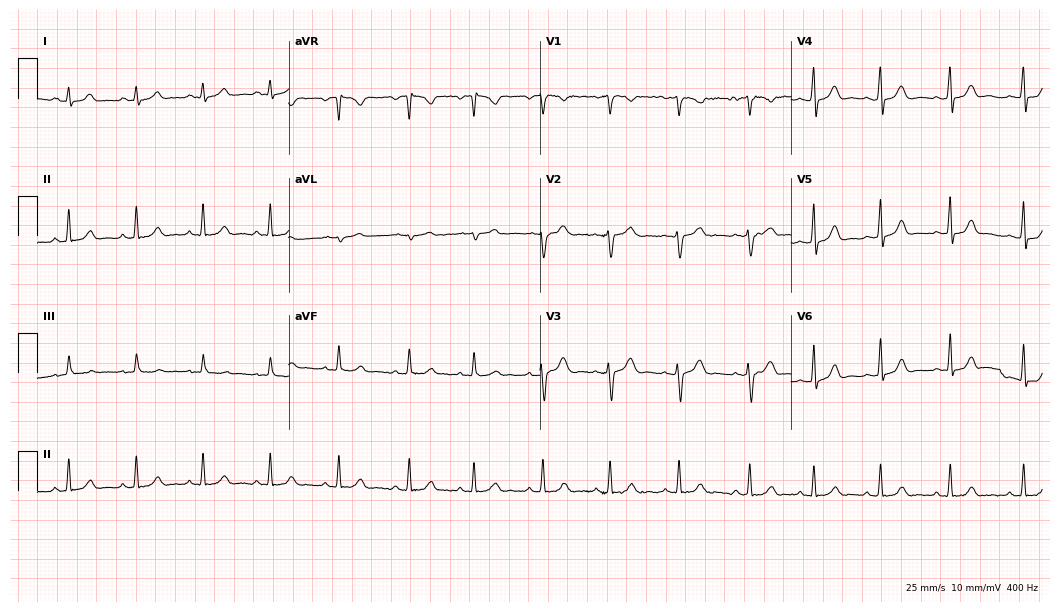
ECG (10.2-second recording at 400 Hz) — a 25-year-old female patient. Labelled as a normal ECG.